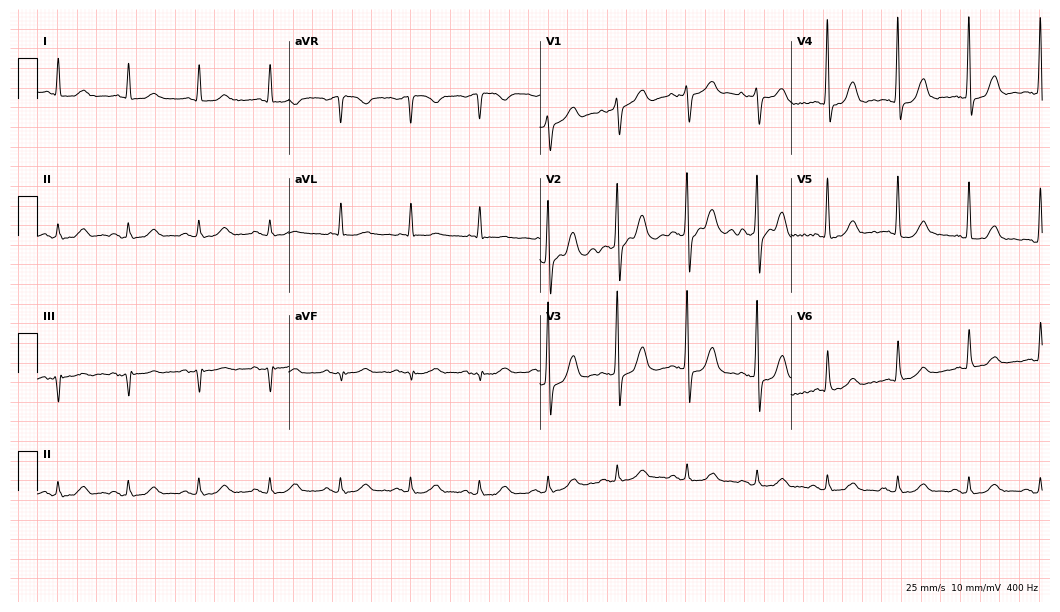
12-lead ECG from a 65-year-old man. Recorded interpretation: within normal limits.